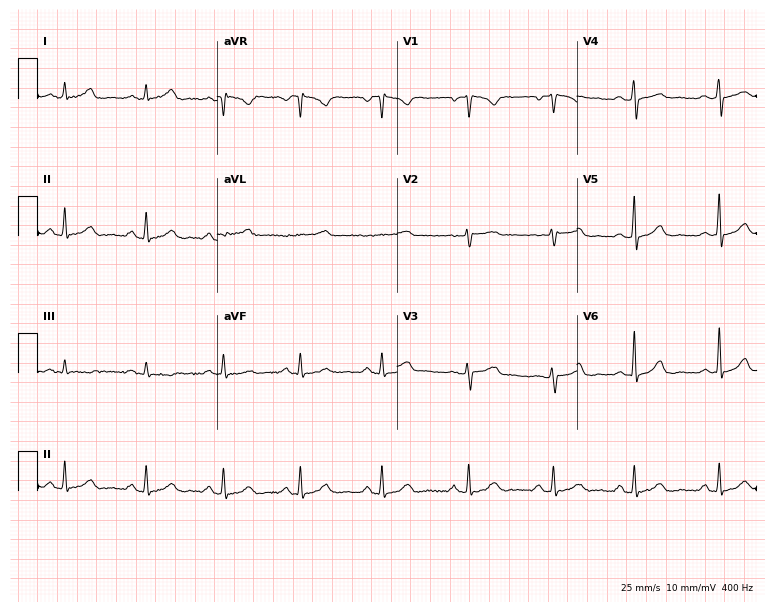
Standard 12-lead ECG recorded from a 35-year-old woman (7.3-second recording at 400 Hz). None of these six findings is recorded: first-degree AV block, right bundle branch block (RBBB), left bundle branch block (LBBB), sinus bradycardia, atrial fibrillation (AF), sinus tachycardia. Other findings, if any, are not listed.